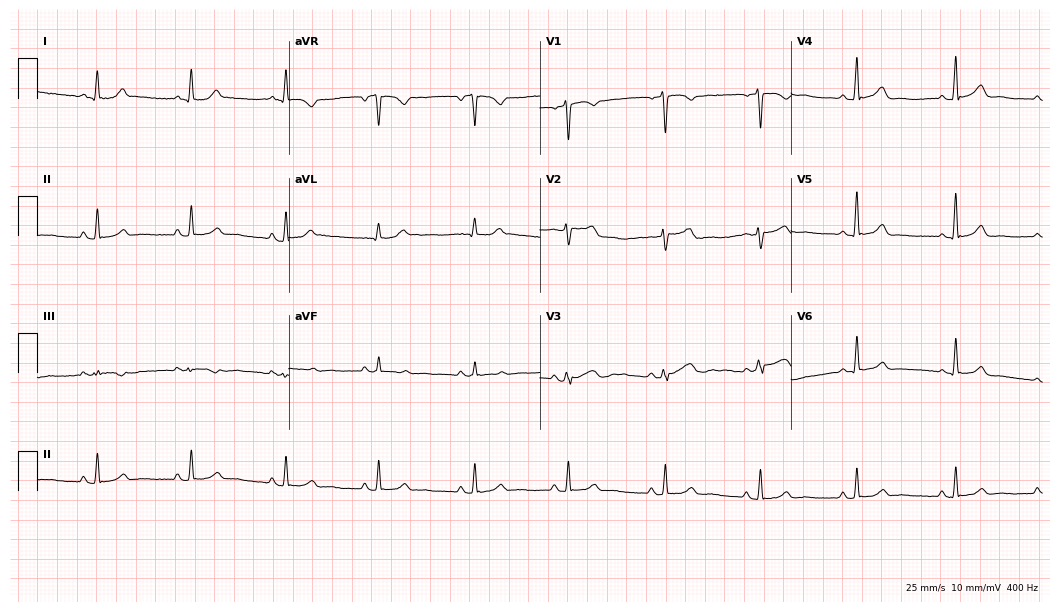
ECG — a female, 42 years old. Labelled as a normal ECG.